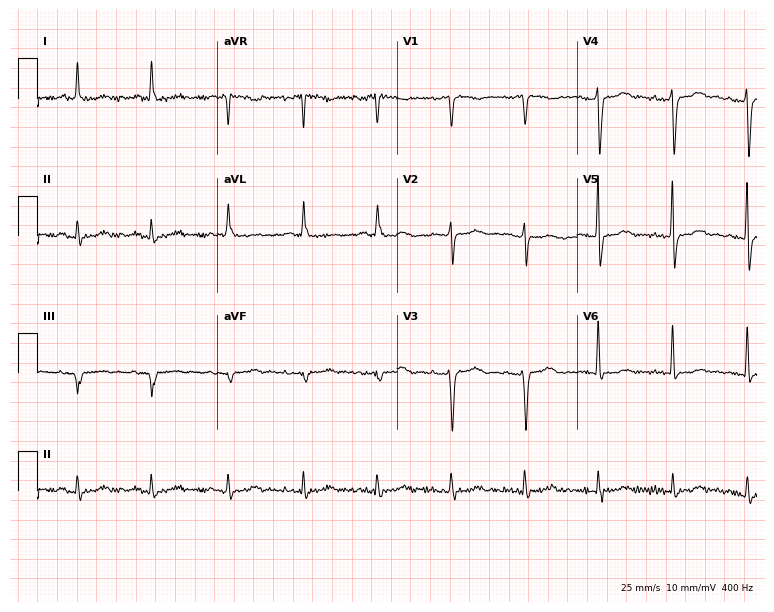
12-lead ECG (7.3-second recording at 400 Hz) from a 70-year-old female. Screened for six findings — first-degree AV block, right bundle branch block (RBBB), left bundle branch block (LBBB), sinus bradycardia, atrial fibrillation (AF), sinus tachycardia — none is recorded.